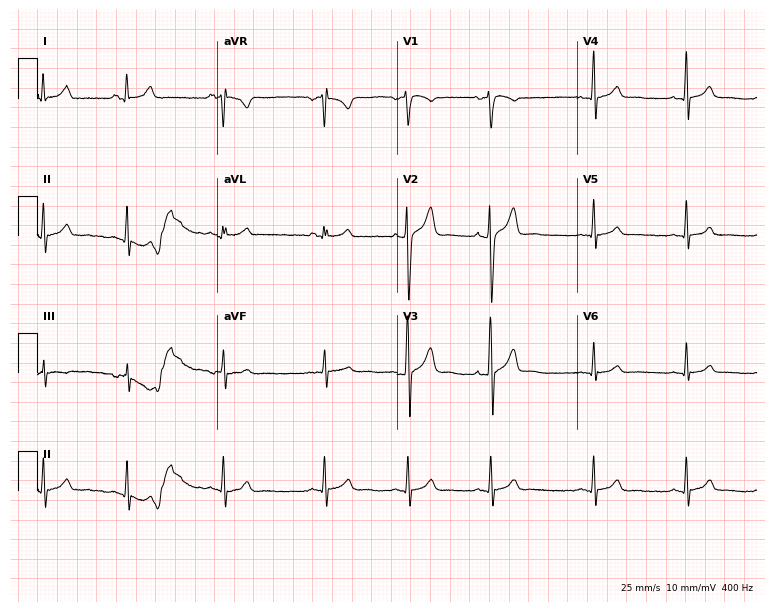
12-lead ECG from a 21-year-old man. Recorded interpretation: within normal limits.